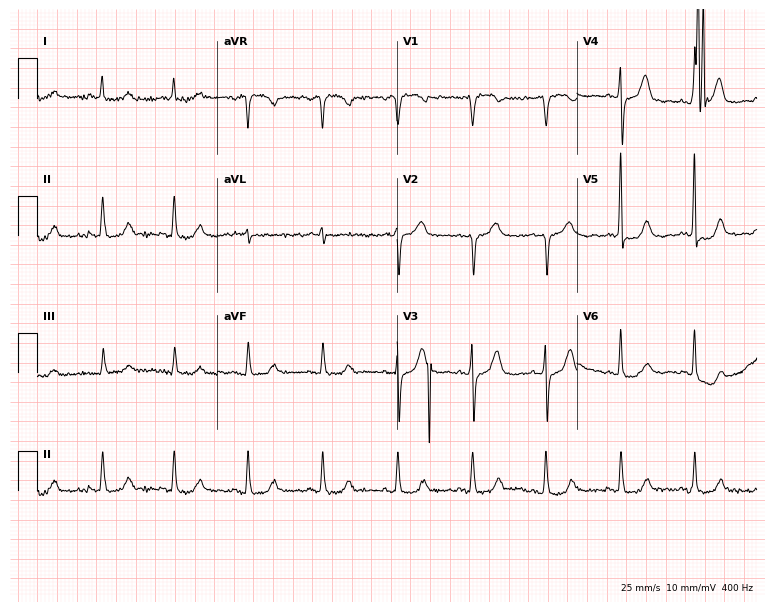
Standard 12-lead ECG recorded from a 72-year-old female patient (7.3-second recording at 400 Hz). None of these six findings is recorded: first-degree AV block, right bundle branch block, left bundle branch block, sinus bradycardia, atrial fibrillation, sinus tachycardia.